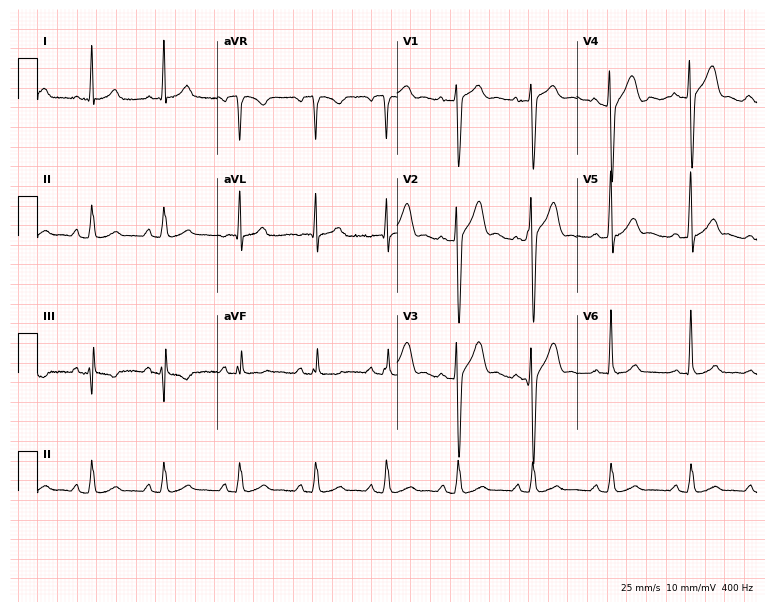
Electrocardiogram, a 39-year-old male patient. Of the six screened findings (first-degree AV block, right bundle branch block, left bundle branch block, sinus bradycardia, atrial fibrillation, sinus tachycardia), none is recorded. Only these six findings were labelled.